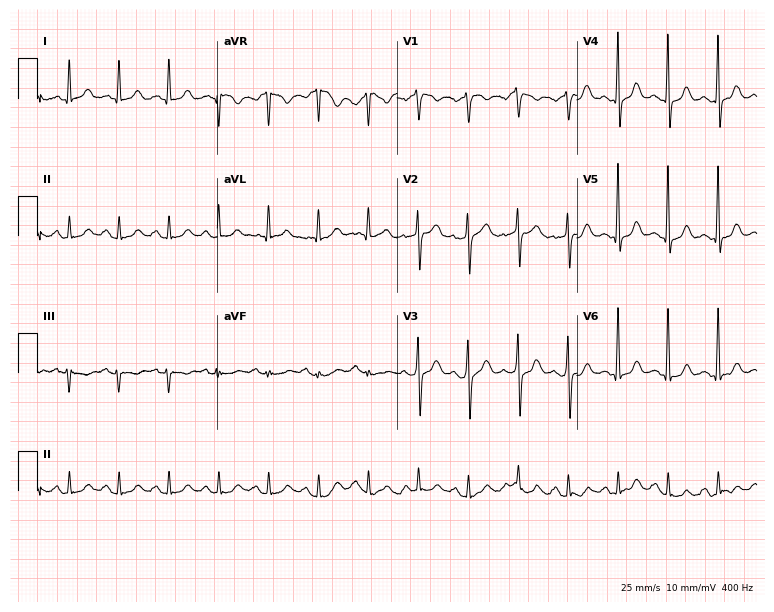
Resting 12-lead electrocardiogram (7.3-second recording at 400 Hz). Patient: a male, 47 years old. The tracing shows sinus tachycardia (a sinus rate of 100 beats per minute or more).